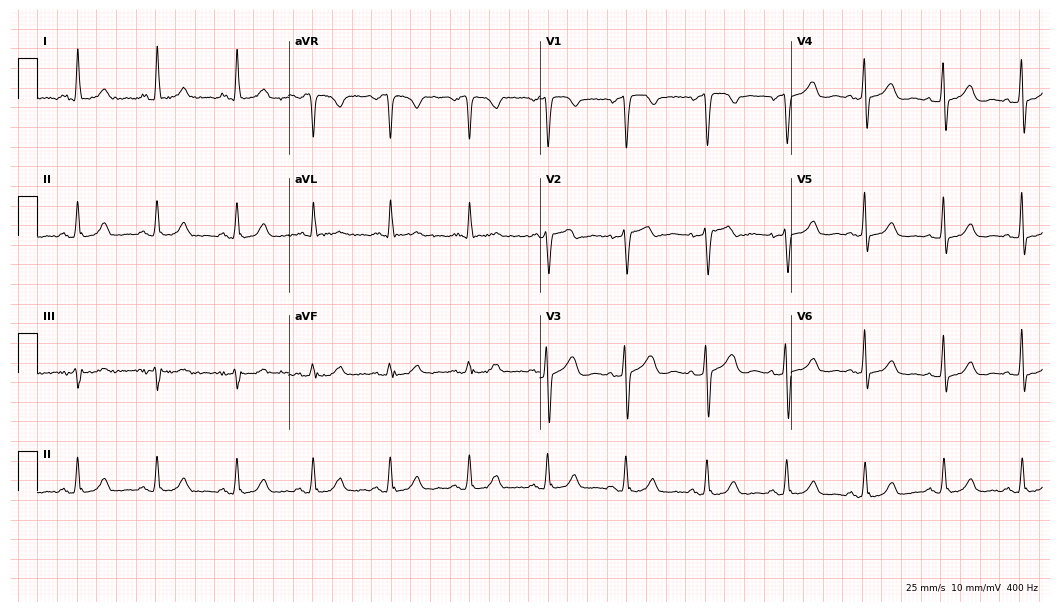
12-lead ECG (10.2-second recording at 400 Hz) from a female, 37 years old. Labelled as a normal ECG.